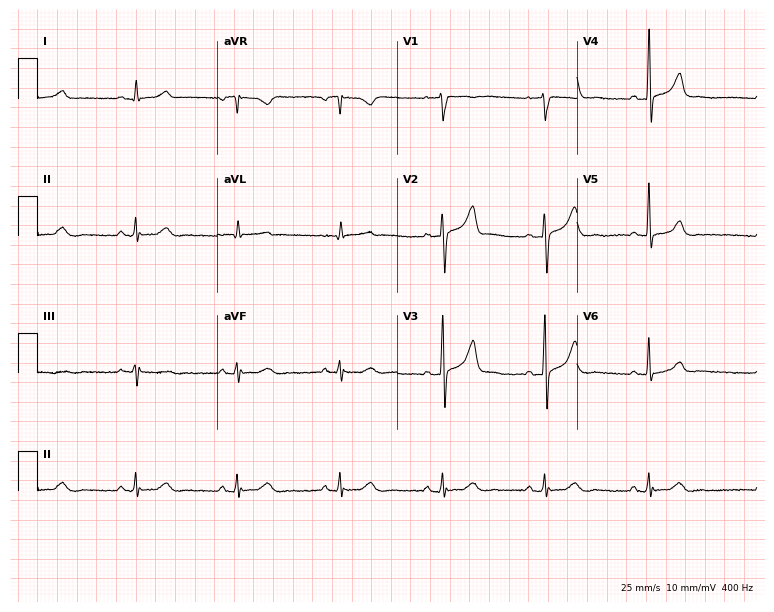
12-lead ECG from a 71-year-old male patient. Labelled as a normal ECG.